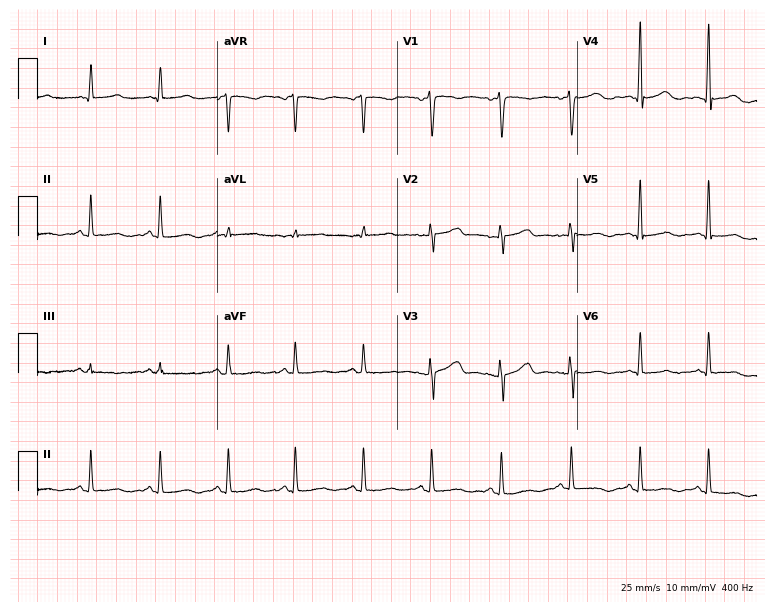
Resting 12-lead electrocardiogram (7.3-second recording at 400 Hz). Patient: a woman, 50 years old. None of these six findings is recorded: first-degree AV block, right bundle branch block, left bundle branch block, sinus bradycardia, atrial fibrillation, sinus tachycardia.